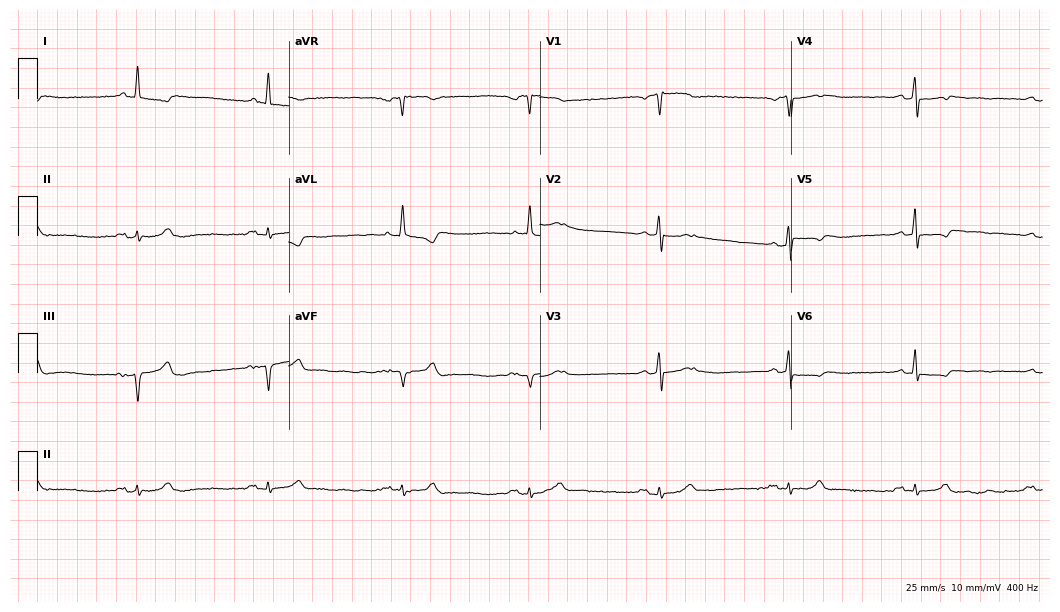
Resting 12-lead electrocardiogram. Patient: a 62-year-old man. The tracing shows sinus bradycardia (a sinus rate of 50 beats per minute or less).